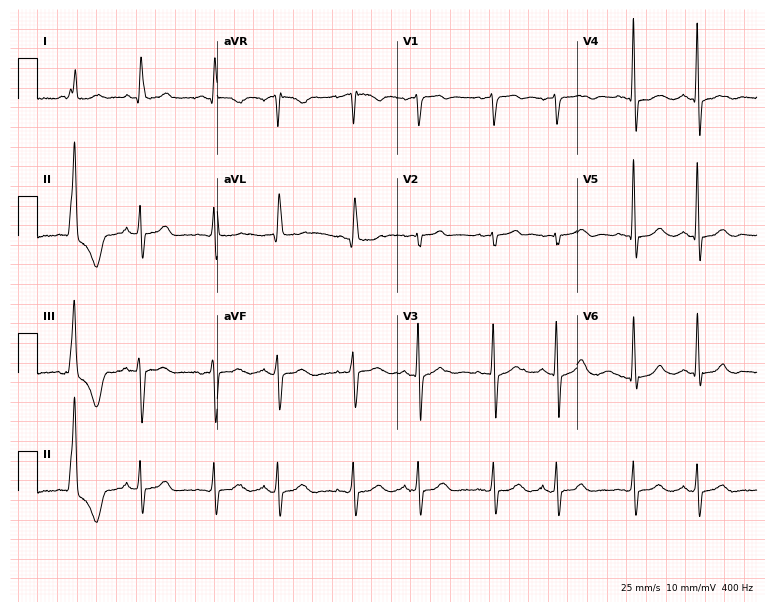
12-lead ECG from an 80-year-old male patient. No first-degree AV block, right bundle branch block (RBBB), left bundle branch block (LBBB), sinus bradycardia, atrial fibrillation (AF) or sinus tachycardia recorded for this tracing.